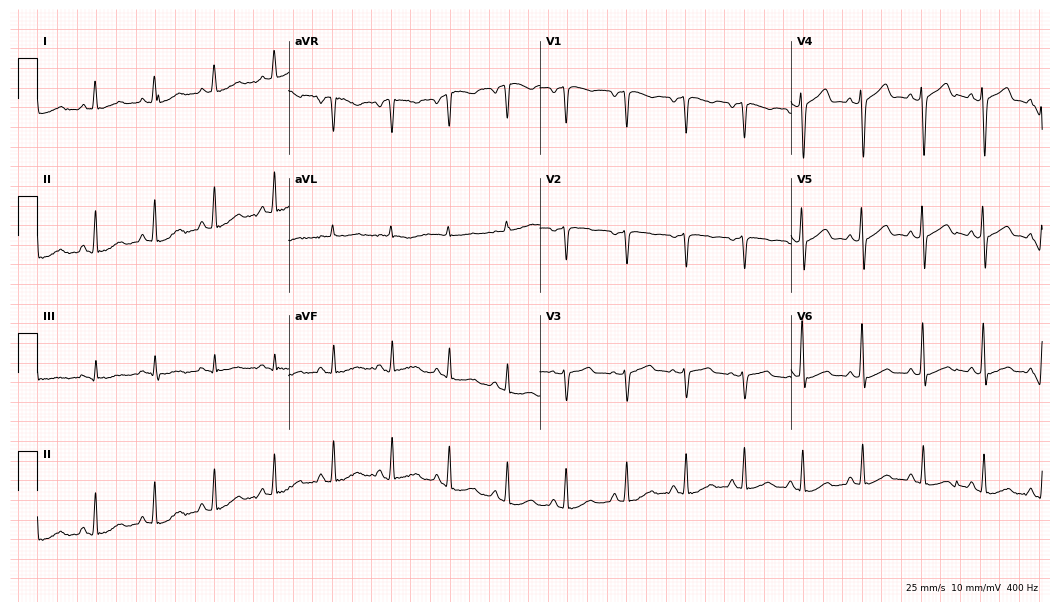
Standard 12-lead ECG recorded from a female, 56 years old (10.2-second recording at 400 Hz). None of these six findings is recorded: first-degree AV block, right bundle branch block, left bundle branch block, sinus bradycardia, atrial fibrillation, sinus tachycardia. Findings outside these six are not listed.